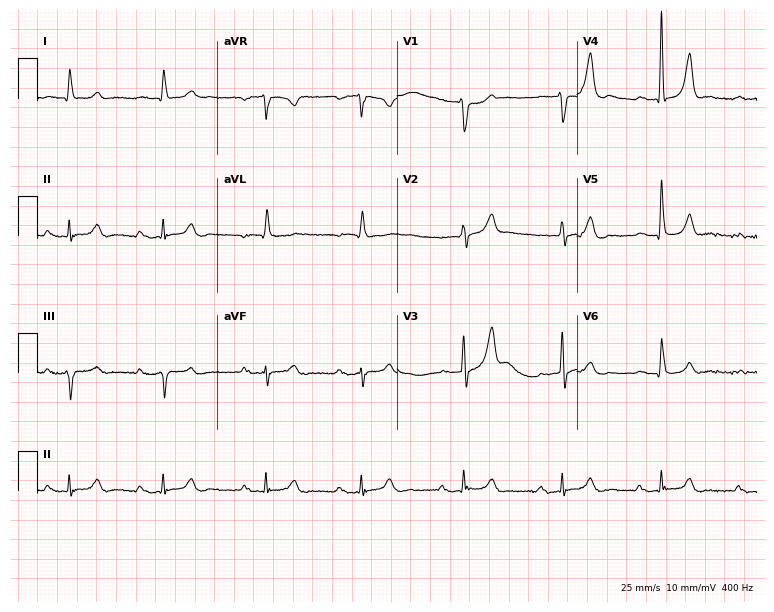
Electrocardiogram, a male patient, 78 years old. Of the six screened findings (first-degree AV block, right bundle branch block (RBBB), left bundle branch block (LBBB), sinus bradycardia, atrial fibrillation (AF), sinus tachycardia), none is recorded.